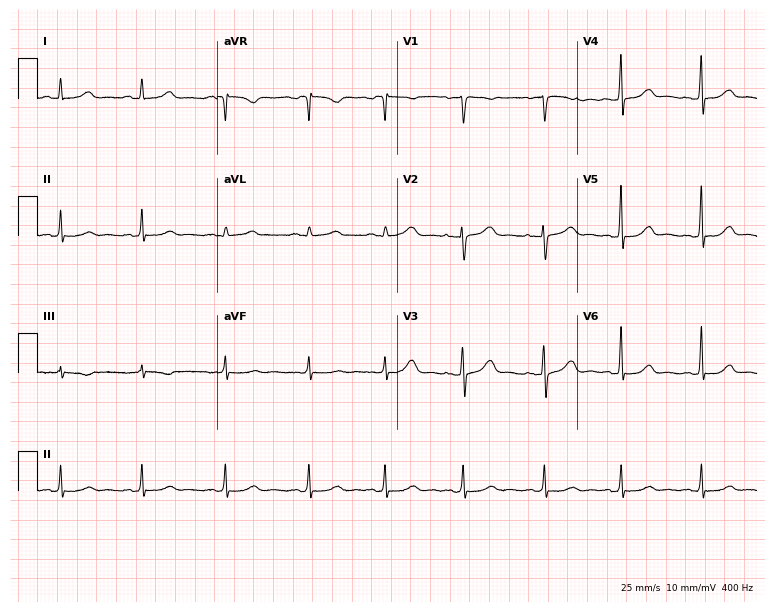
Electrocardiogram (7.3-second recording at 400 Hz), a female patient, 35 years old. Of the six screened findings (first-degree AV block, right bundle branch block (RBBB), left bundle branch block (LBBB), sinus bradycardia, atrial fibrillation (AF), sinus tachycardia), none is recorded. Only these six findings were labelled.